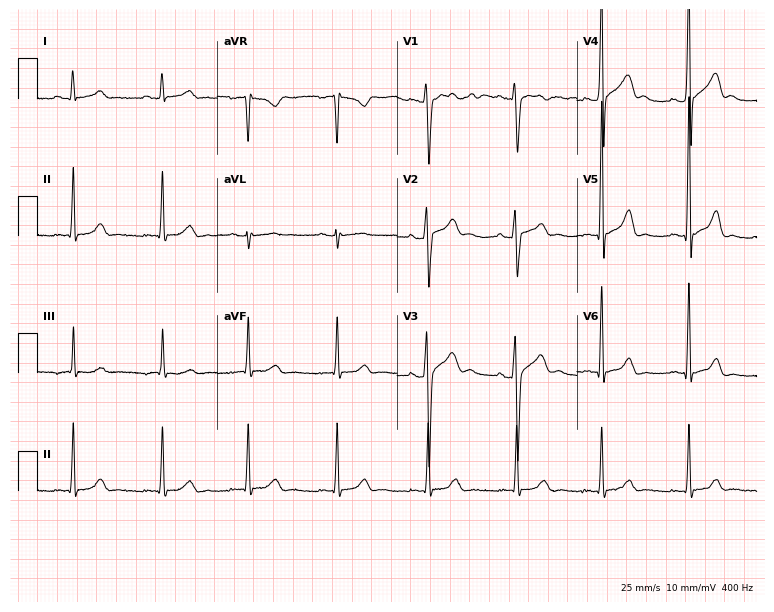
ECG (7.3-second recording at 400 Hz) — a 23-year-old man. Labelled as a normal ECG.